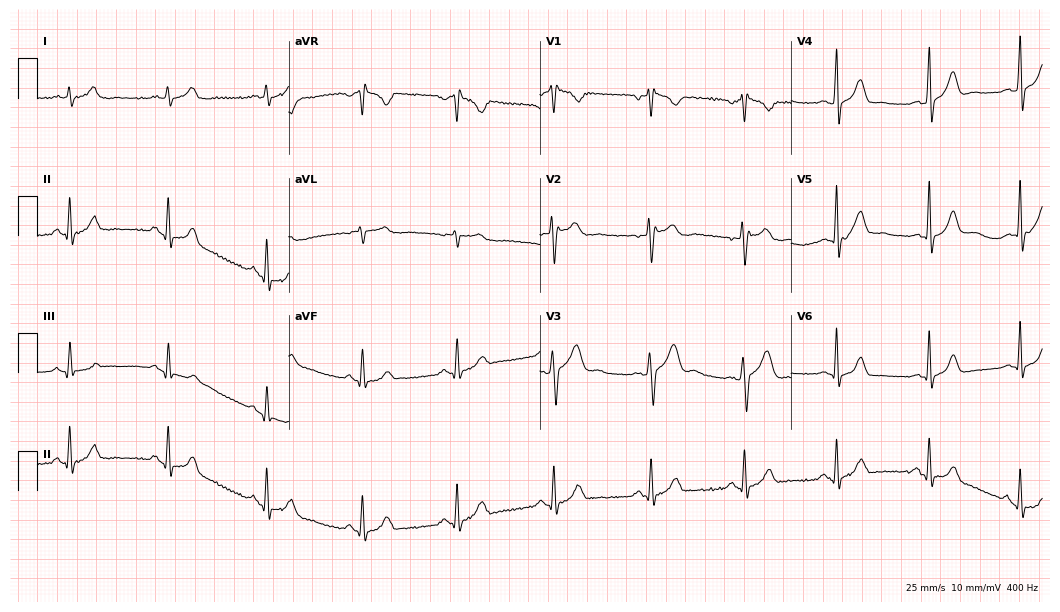
Standard 12-lead ECG recorded from a male, 43 years old. Read as a normal ECG.